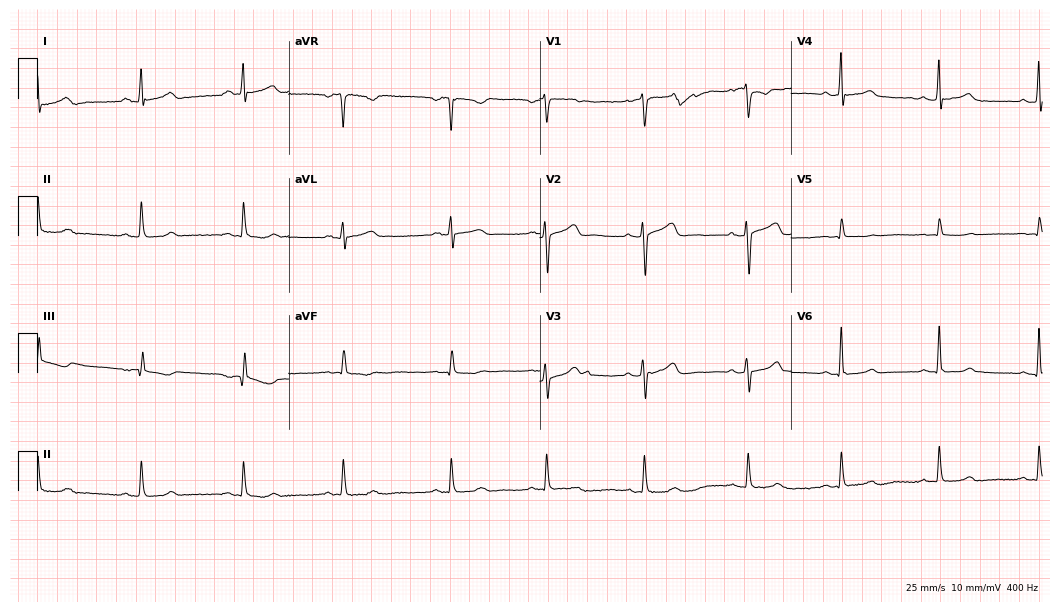
Resting 12-lead electrocardiogram. Patient: a female, 40 years old. Read as a normal ECG.